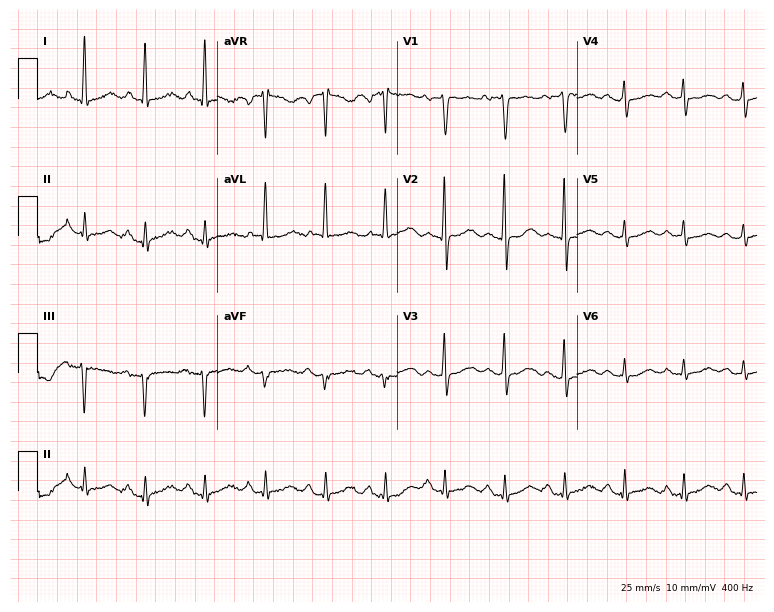
Standard 12-lead ECG recorded from a female patient, 57 years old. Read as a normal ECG.